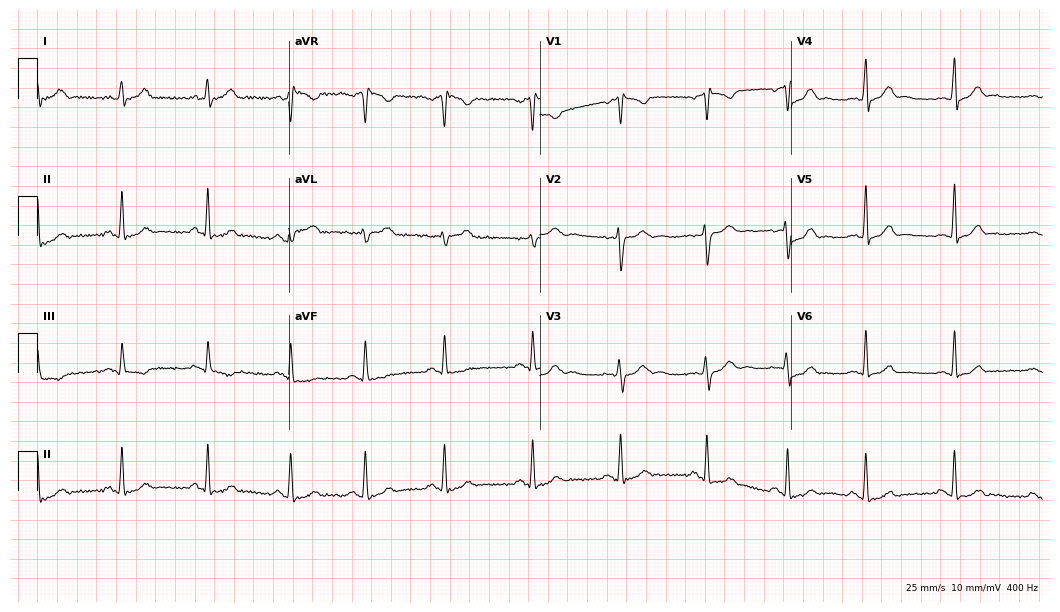
Standard 12-lead ECG recorded from a 26-year-old female patient. None of these six findings is recorded: first-degree AV block, right bundle branch block (RBBB), left bundle branch block (LBBB), sinus bradycardia, atrial fibrillation (AF), sinus tachycardia. Other findings, if any, are not listed.